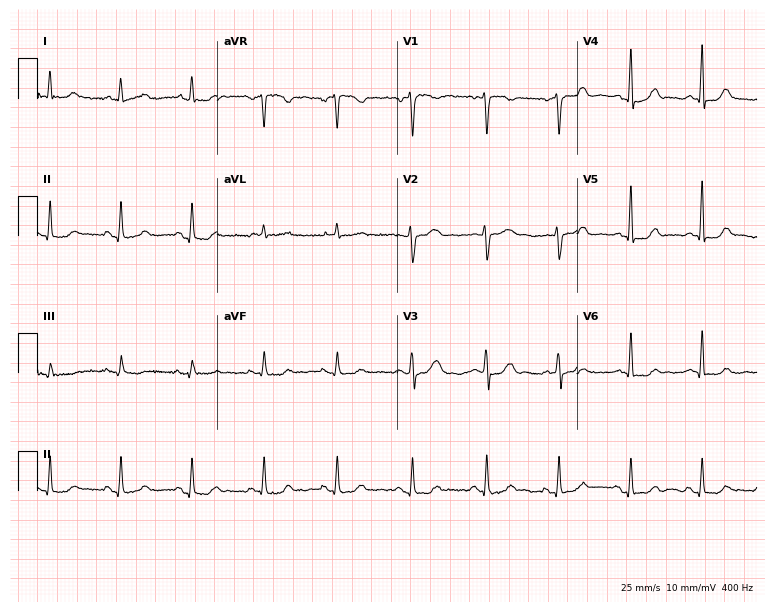
12-lead ECG from a female patient, 58 years old. Labelled as a normal ECG.